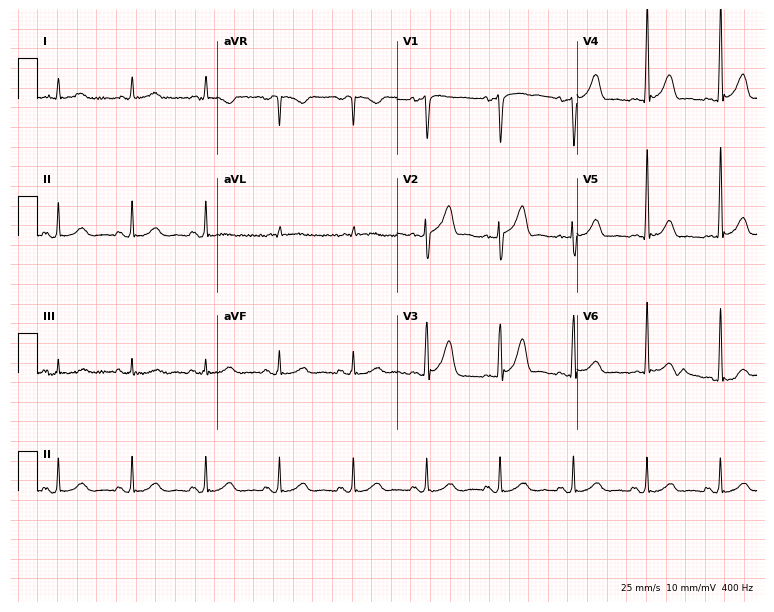
12-lead ECG from a 66-year-old man. Recorded interpretation: within normal limits.